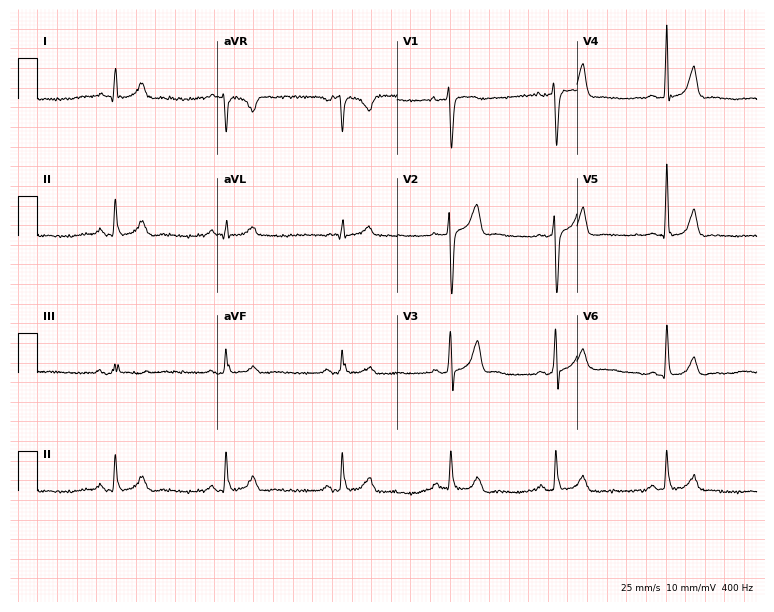
Standard 12-lead ECG recorded from a man, 41 years old (7.3-second recording at 400 Hz). Read as a normal ECG.